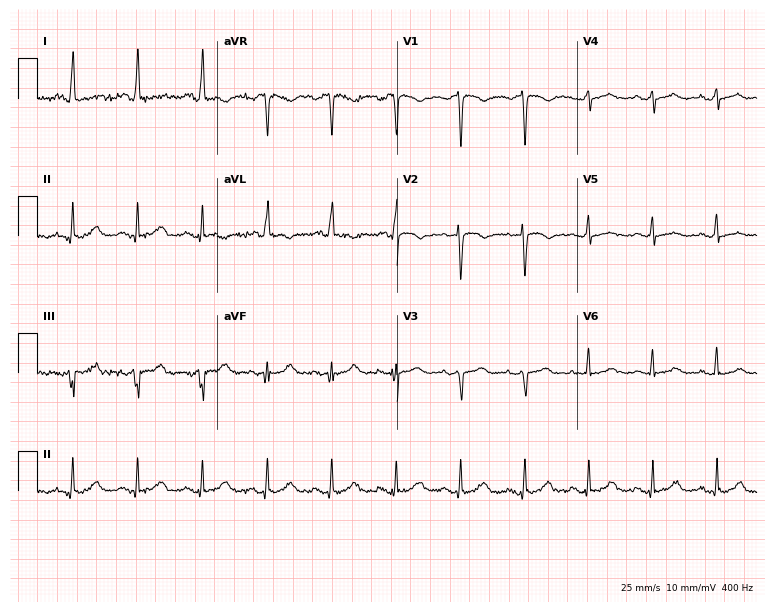
Standard 12-lead ECG recorded from a female patient, 72 years old (7.3-second recording at 400 Hz). Read as a normal ECG.